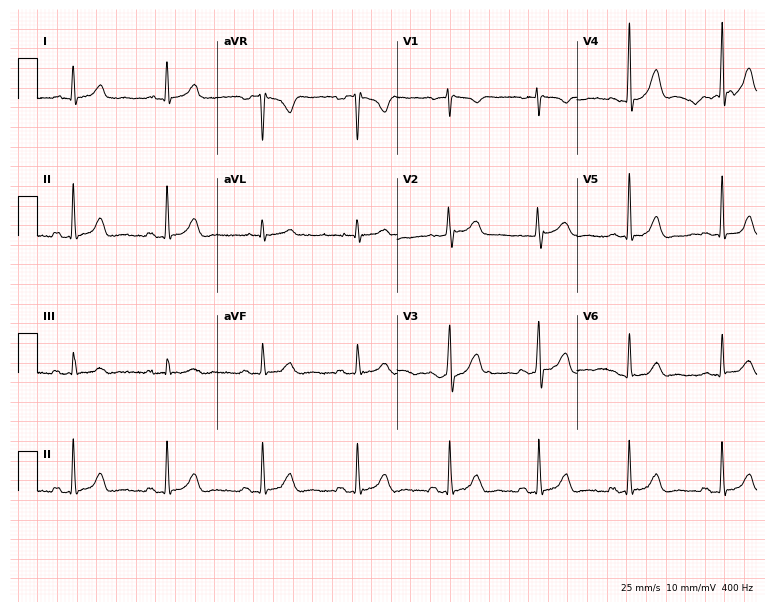
ECG (7.3-second recording at 400 Hz) — a woman, 52 years old. Labelled as a normal ECG.